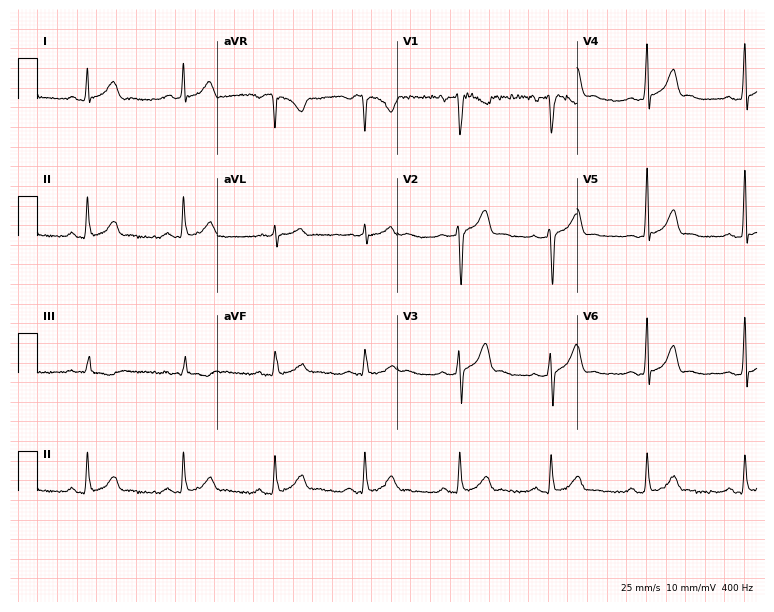
Standard 12-lead ECG recorded from a male, 36 years old (7.3-second recording at 400 Hz). Read as a normal ECG.